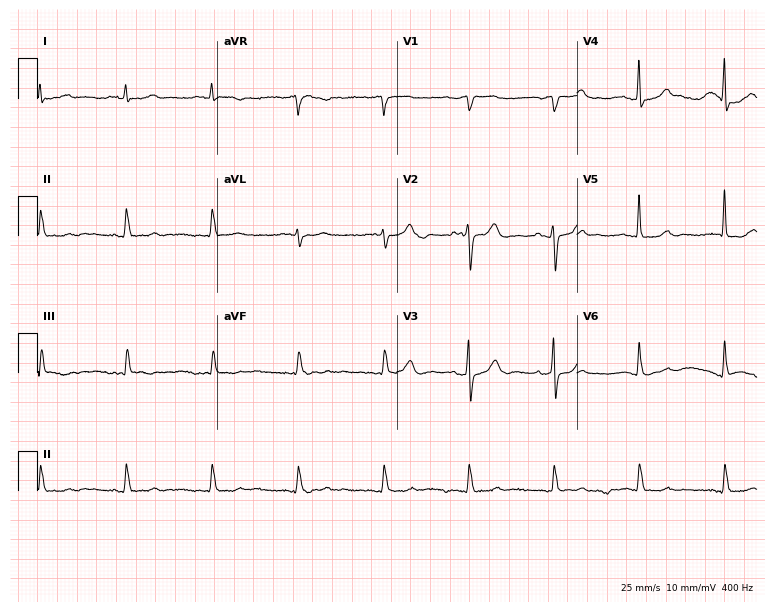
Electrocardiogram, a male patient, 80 years old. Of the six screened findings (first-degree AV block, right bundle branch block (RBBB), left bundle branch block (LBBB), sinus bradycardia, atrial fibrillation (AF), sinus tachycardia), none is recorded.